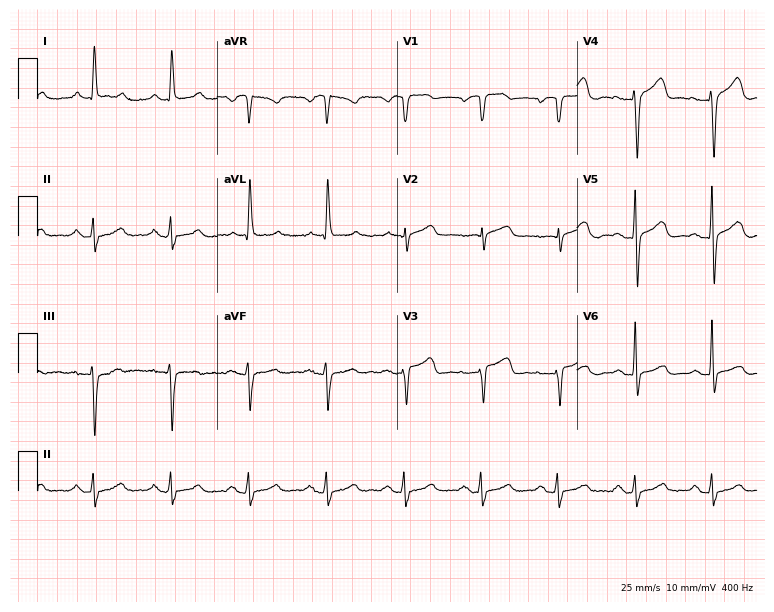
12-lead ECG from a woman, 84 years old. No first-degree AV block, right bundle branch block (RBBB), left bundle branch block (LBBB), sinus bradycardia, atrial fibrillation (AF) or sinus tachycardia recorded for this tracing.